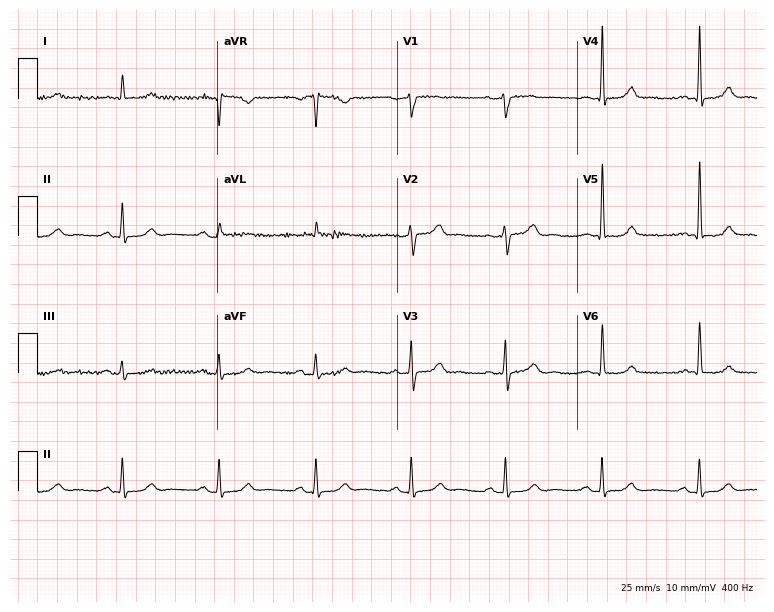
12-lead ECG from a 63-year-old male patient. Screened for six findings — first-degree AV block, right bundle branch block, left bundle branch block, sinus bradycardia, atrial fibrillation, sinus tachycardia — none is recorded.